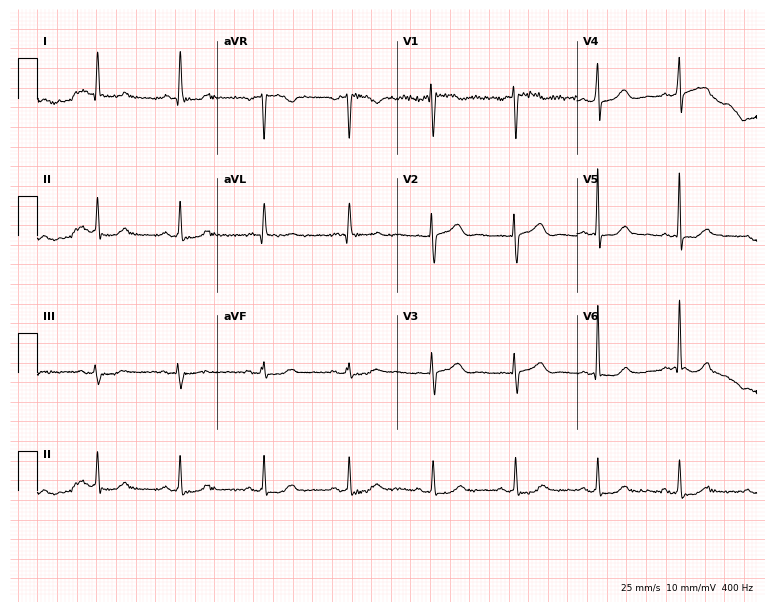
Standard 12-lead ECG recorded from a female, 51 years old (7.3-second recording at 400 Hz). None of these six findings is recorded: first-degree AV block, right bundle branch block, left bundle branch block, sinus bradycardia, atrial fibrillation, sinus tachycardia. Other findings, if any, are not listed.